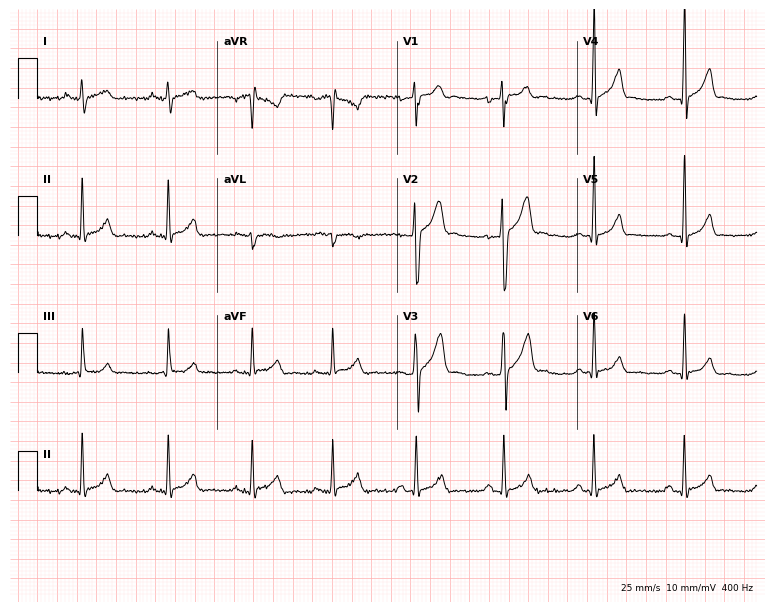
ECG — a 21-year-old male patient. Labelled as a normal ECG.